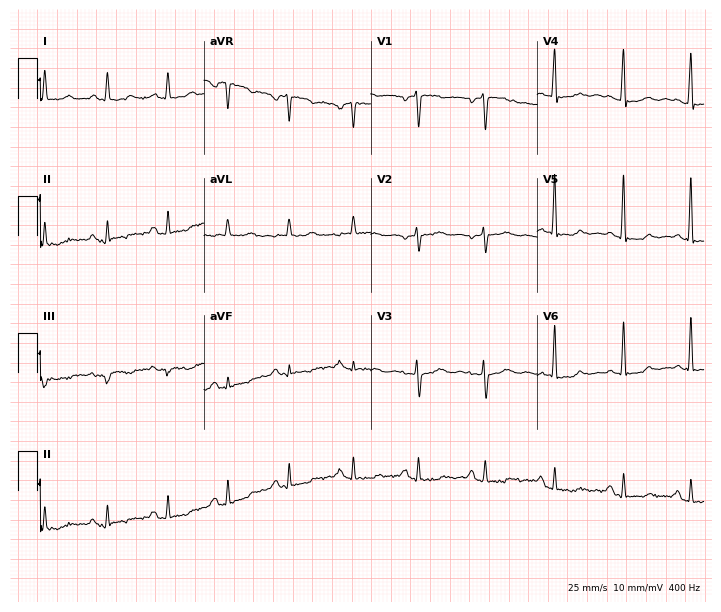
12-lead ECG (6.8-second recording at 400 Hz) from a female, 43 years old. Screened for six findings — first-degree AV block, right bundle branch block, left bundle branch block, sinus bradycardia, atrial fibrillation, sinus tachycardia — none is recorded.